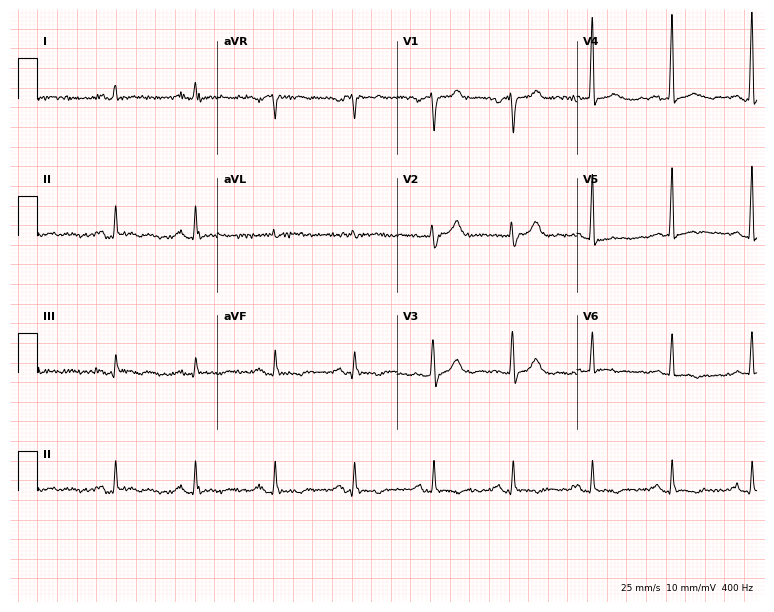
ECG (7.3-second recording at 400 Hz) — a 72-year-old man. Screened for six findings — first-degree AV block, right bundle branch block (RBBB), left bundle branch block (LBBB), sinus bradycardia, atrial fibrillation (AF), sinus tachycardia — none is recorded.